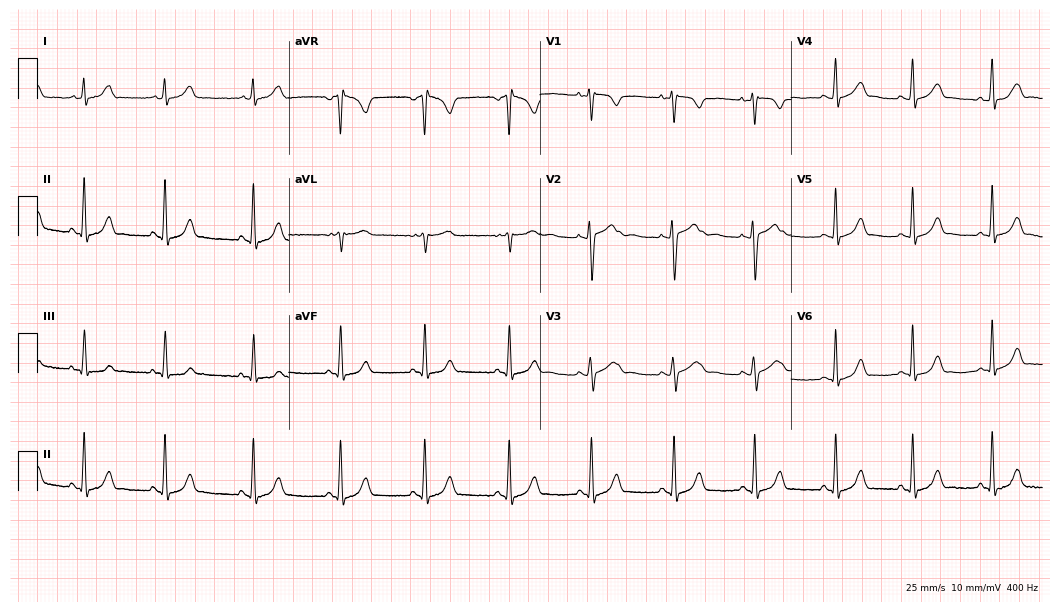
Resting 12-lead electrocardiogram (10.2-second recording at 400 Hz). Patient: a 23-year-old female. Read as a normal ECG.